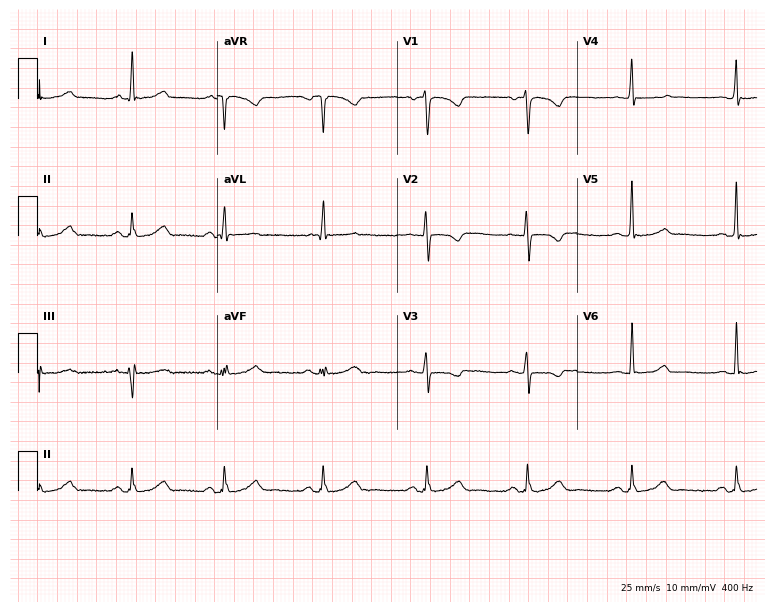
12-lead ECG from a female, 42 years old (7.3-second recording at 400 Hz). No first-degree AV block, right bundle branch block, left bundle branch block, sinus bradycardia, atrial fibrillation or sinus tachycardia recorded for this tracing. Other findings, if any, are not listed.